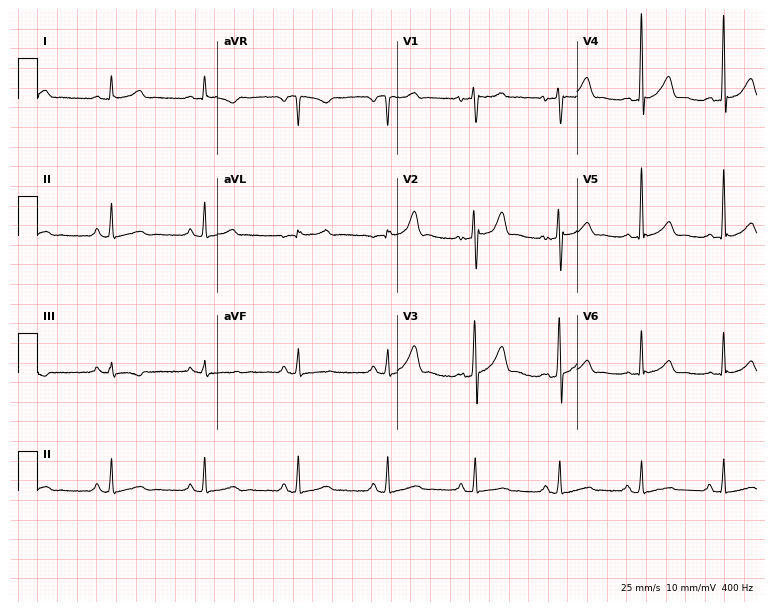
12-lead ECG from a 49-year-old male. Recorded interpretation: within normal limits.